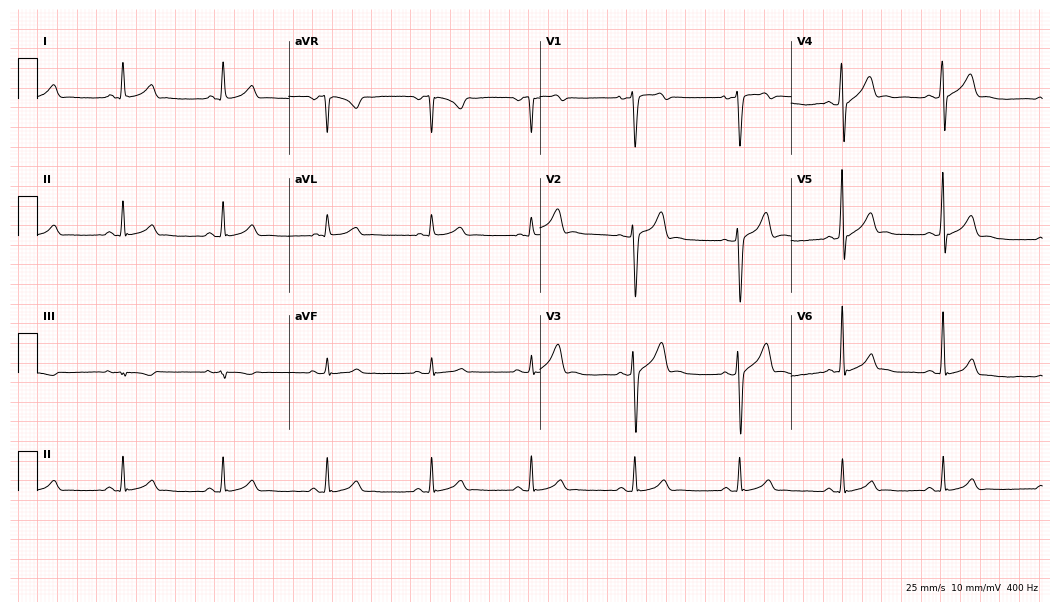
Standard 12-lead ECG recorded from a 27-year-old male patient. Read as a normal ECG.